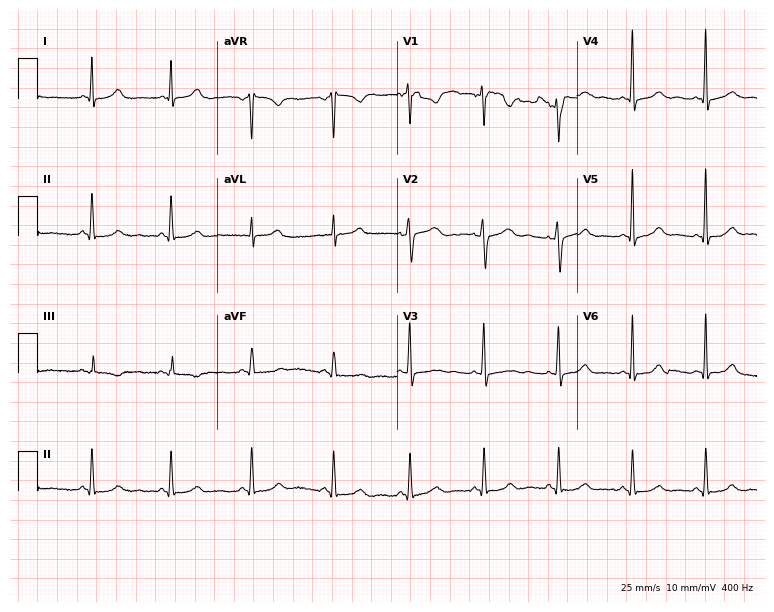
Electrocardiogram (7.3-second recording at 400 Hz), a 31-year-old female. Of the six screened findings (first-degree AV block, right bundle branch block, left bundle branch block, sinus bradycardia, atrial fibrillation, sinus tachycardia), none is recorded. Other findings, if any, are not listed.